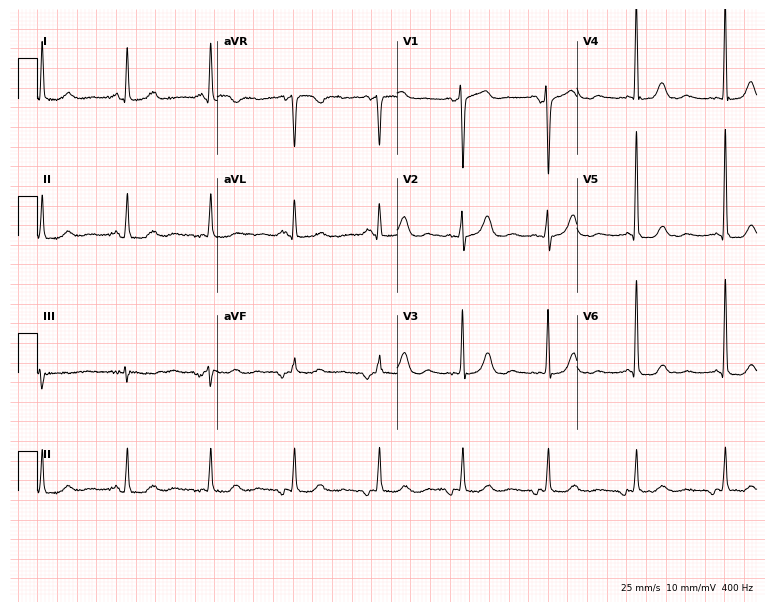
12-lead ECG (7.3-second recording at 400 Hz) from a female, 64 years old. Screened for six findings — first-degree AV block, right bundle branch block (RBBB), left bundle branch block (LBBB), sinus bradycardia, atrial fibrillation (AF), sinus tachycardia — none is recorded.